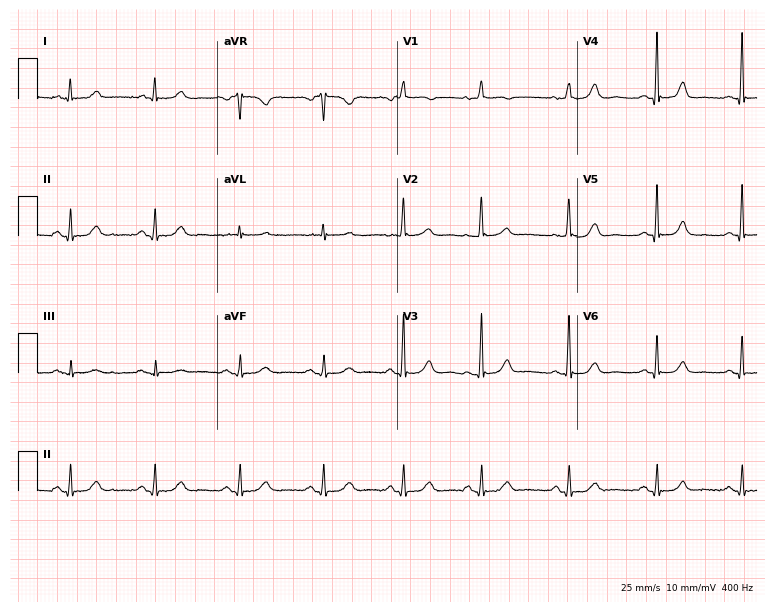
Resting 12-lead electrocardiogram. Patient: a female, 79 years old. None of these six findings is recorded: first-degree AV block, right bundle branch block, left bundle branch block, sinus bradycardia, atrial fibrillation, sinus tachycardia. Other findings, if any, are not listed.